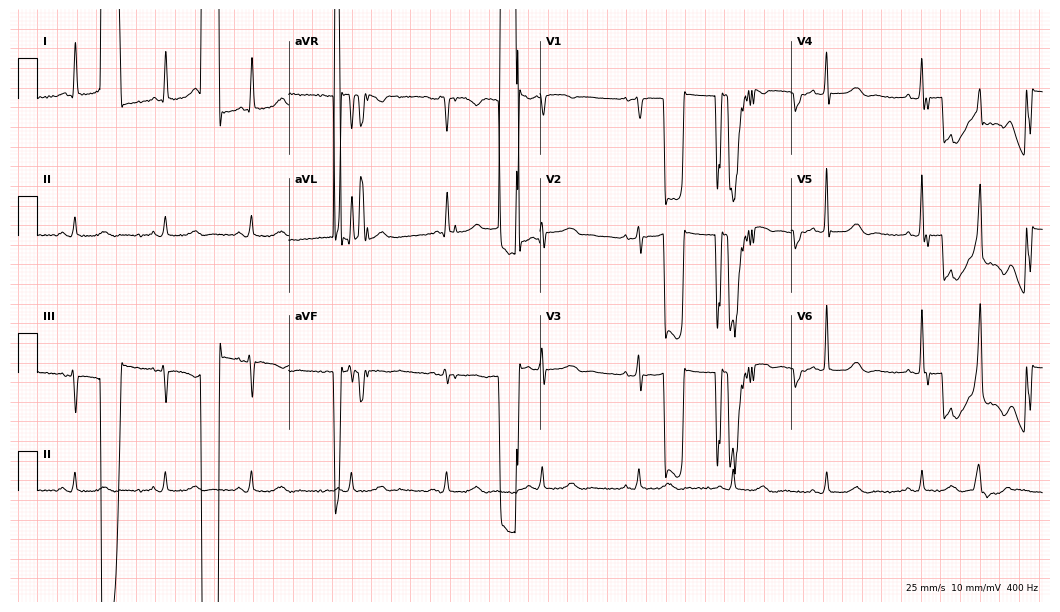
ECG (10.2-second recording at 400 Hz) — a 78-year-old female patient. Screened for six findings — first-degree AV block, right bundle branch block, left bundle branch block, sinus bradycardia, atrial fibrillation, sinus tachycardia — none is recorded. Findings outside these six are not listed.